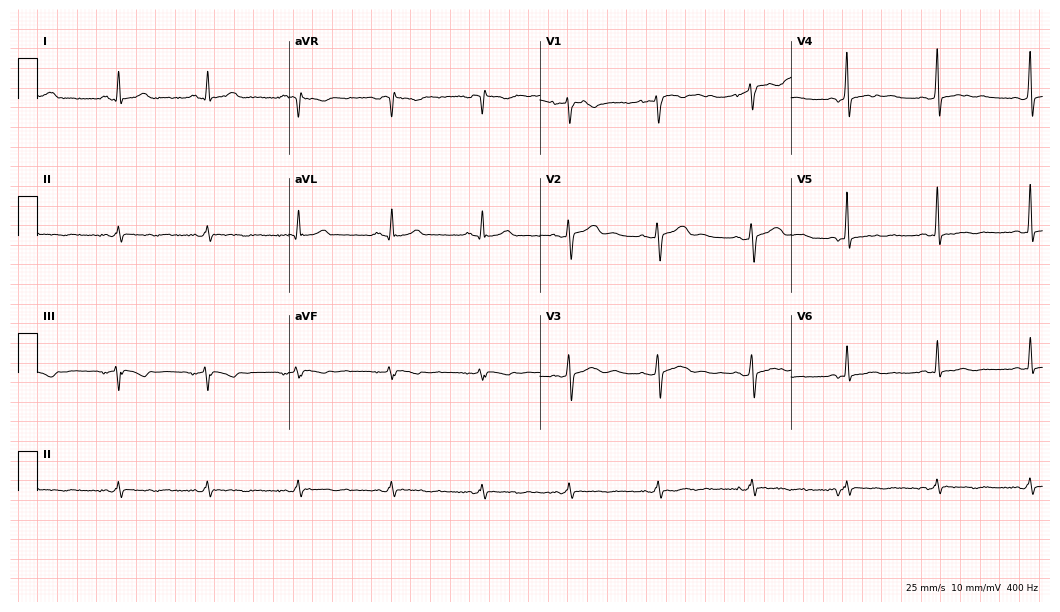
12-lead ECG from a 27-year-old male patient. Recorded interpretation: within normal limits.